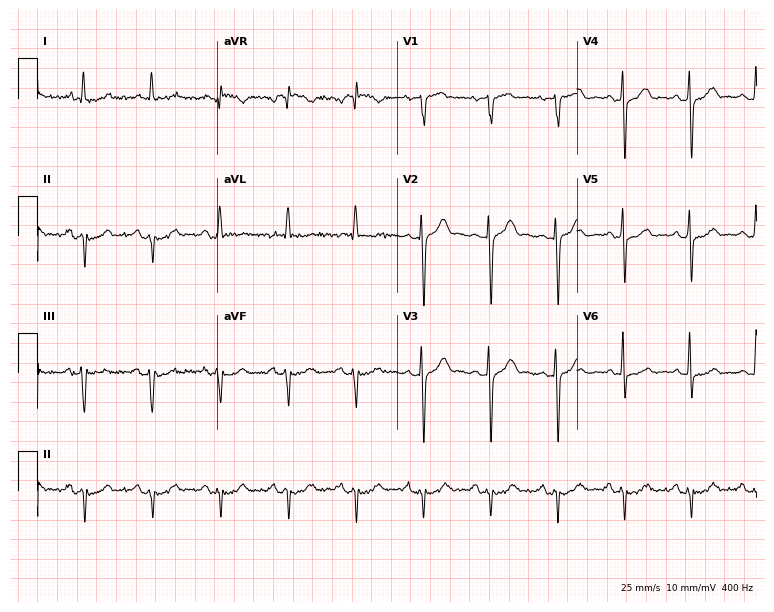
ECG (7.3-second recording at 400 Hz) — a man, 67 years old. Screened for six findings — first-degree AV block, right bundle branch block, left bundle branch block, sinus bradycardia, atrial fibrillation, sinus tachycardia — none is recorded.